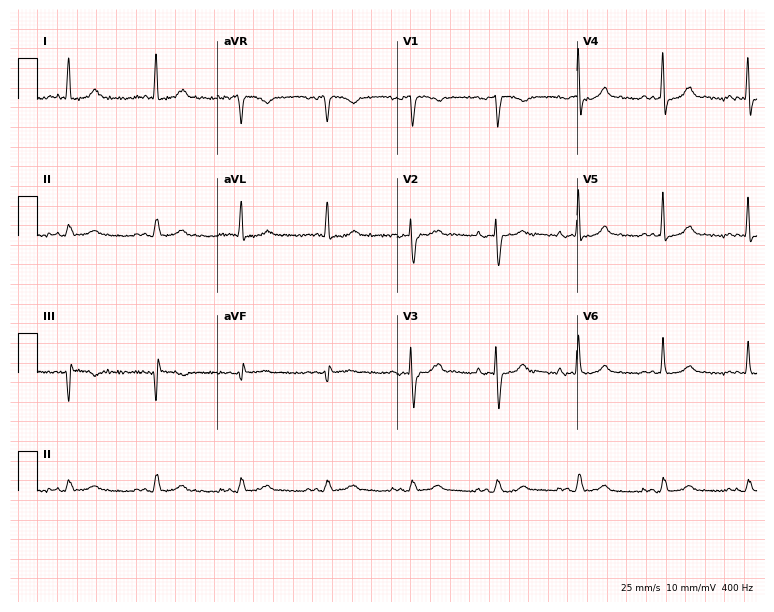
Standard 12-lead ECG recorded from a 55-year-old female (7.3-second recording at 400 Hz). None of these six findings is recorded: first-degree AV block, right bundle branch block, left bundle branch block, sinus bradycardia, atrial fibrillation, sinus tachycardia.